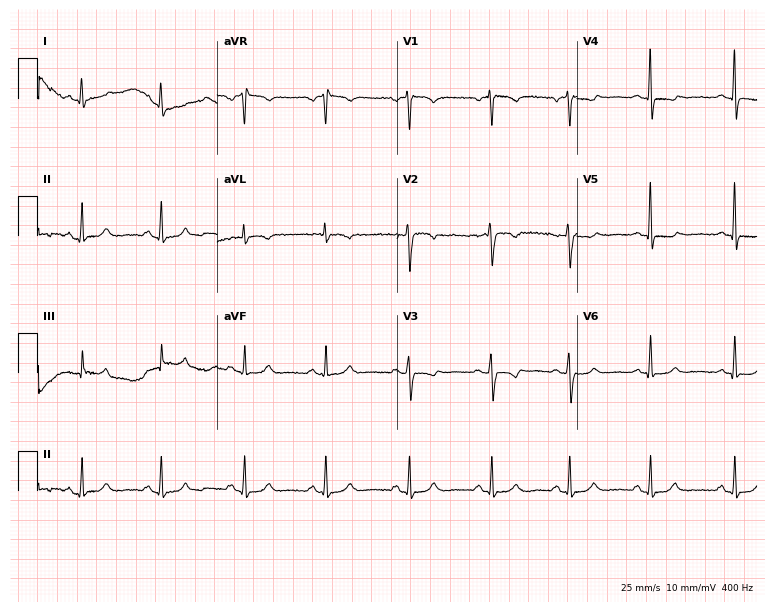
Electrocardiogram, a woman, 41 years old. Of the six screened findings (first-degree AV block, right bundle branch block (RBBB), left bundle branch block (LBBB), sinus bradycardia, atrial fibrillation (AF), sinus tachycardia), none is recorded.